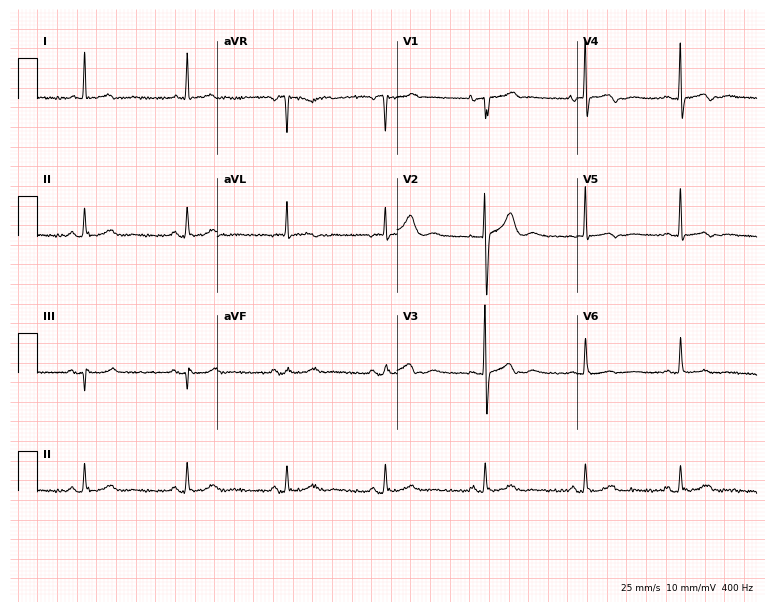
Resting 12-lead electrocardiogram. Patient: a woman, 76 years old. None of these six findings is recorded: first-degree AV block, right bundle branch block, left bundle branch block, sinus bradycardia, atrial fibrillation, sinus tachycardia.